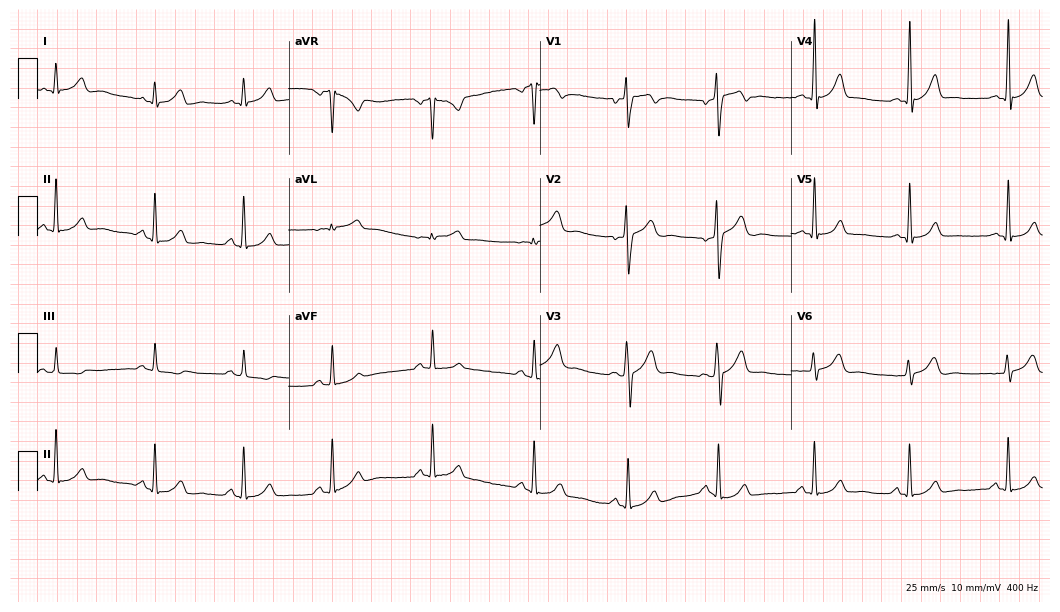
Resting 12-lead electrocardiogram (10.2-second recording at 400 Hz). Patient: a 22-year-old male. Read as a normal ECG.